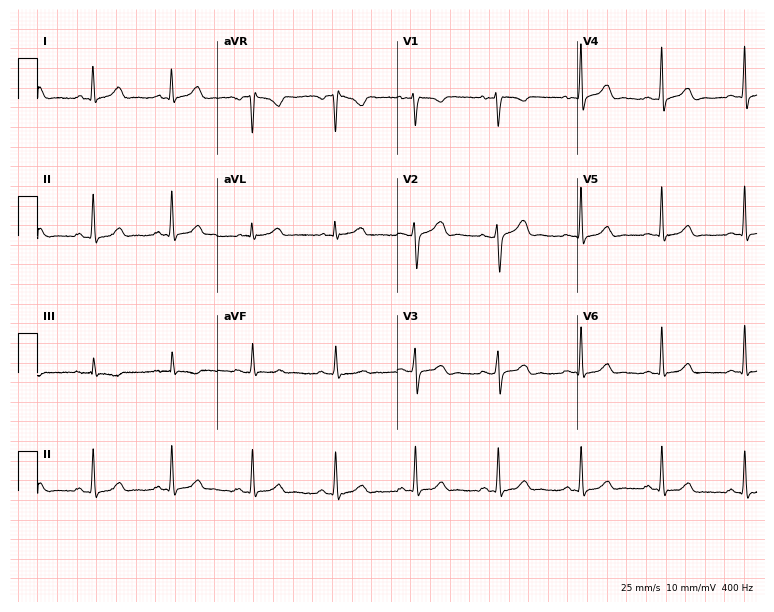
Resting 12-lead electrocardiogram (7.3-second recording at 400 Hz). Patient: a 25-year-old female. Read as a normal ECG.